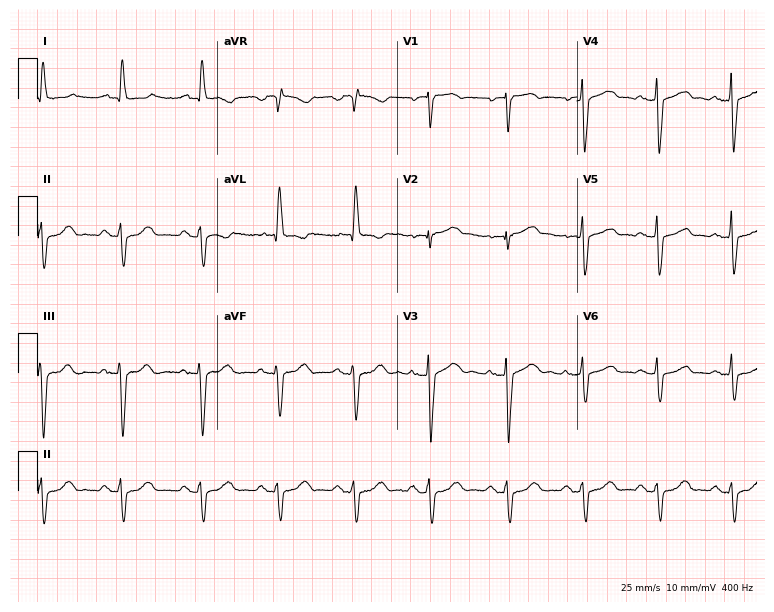
Resting 12-lead electrocardiogram (7.3-second recording at 400 Hz). Patient: a female, 67 years old. None of these six findings is recorded: first-degree AV block, right bundle branch block, left bundle branch block, sinus bradycardia, atrial fibrillation, sinus tachycardia. Only these six findings were labelled.